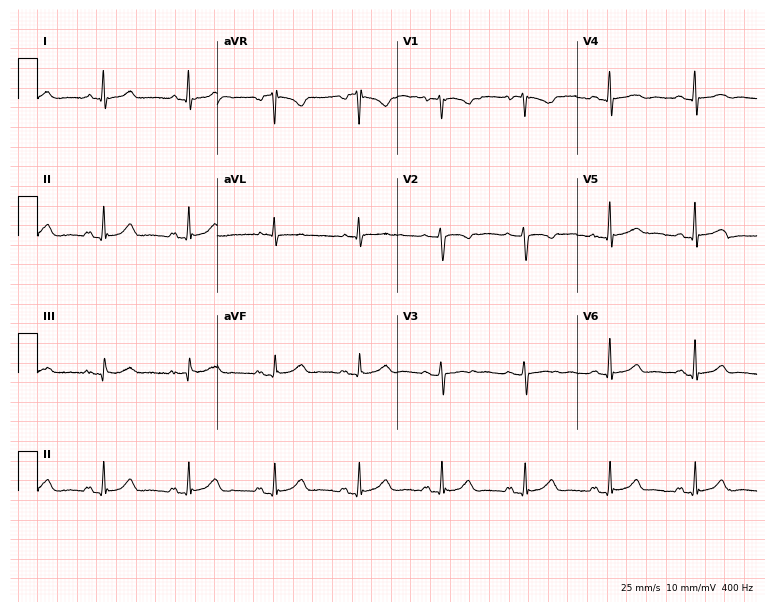
ECG — a 62-year-old female patient. Screened for six findings — first-degree AV block, right bundle branch block (RBBB), left bundle branch block (LBBB), sinus bradycardia, atrial fibrillation (AF), sinus tachycardia — none is recorded.